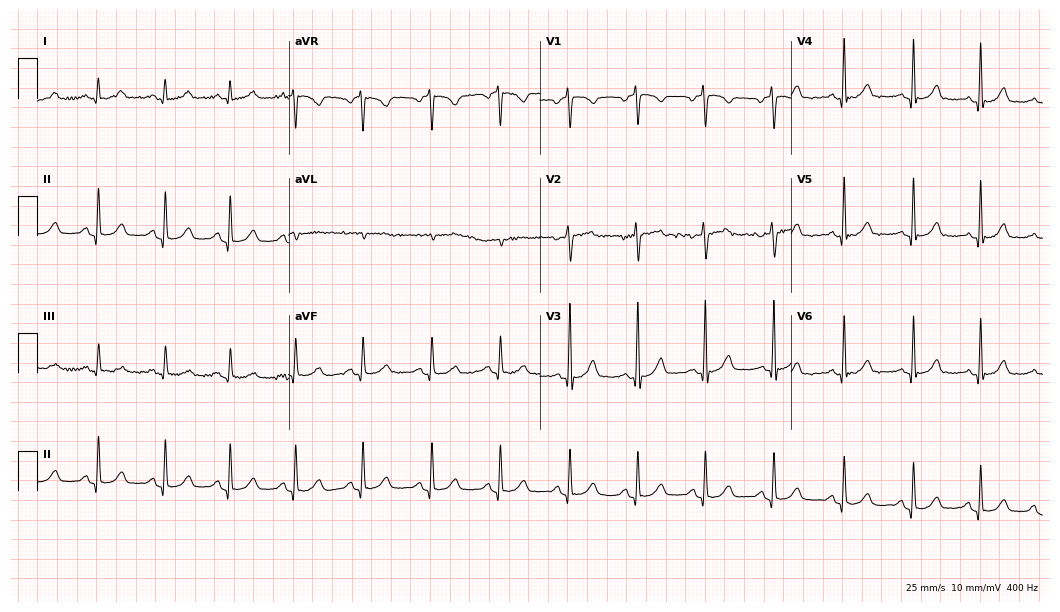
Resting 12-lead electrocardiogram. Patient: a female, 47 years old. Read as a normal ECG.